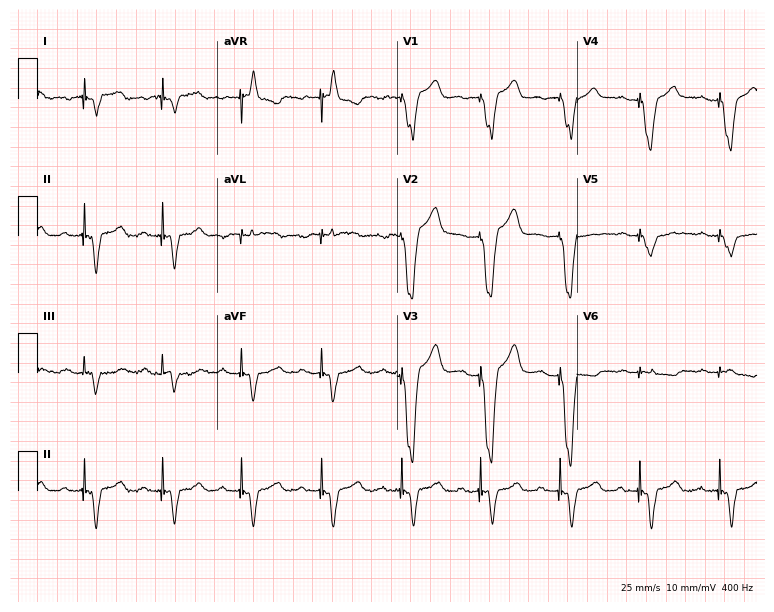
12-lead ECG from a male patient, 82 years old. Screened for six findings — first-degree AV block, right bundle branch block, left bundle branch block, sinus bradycardia, atrial fibrillation, sinus tachycardia — none is recorded.